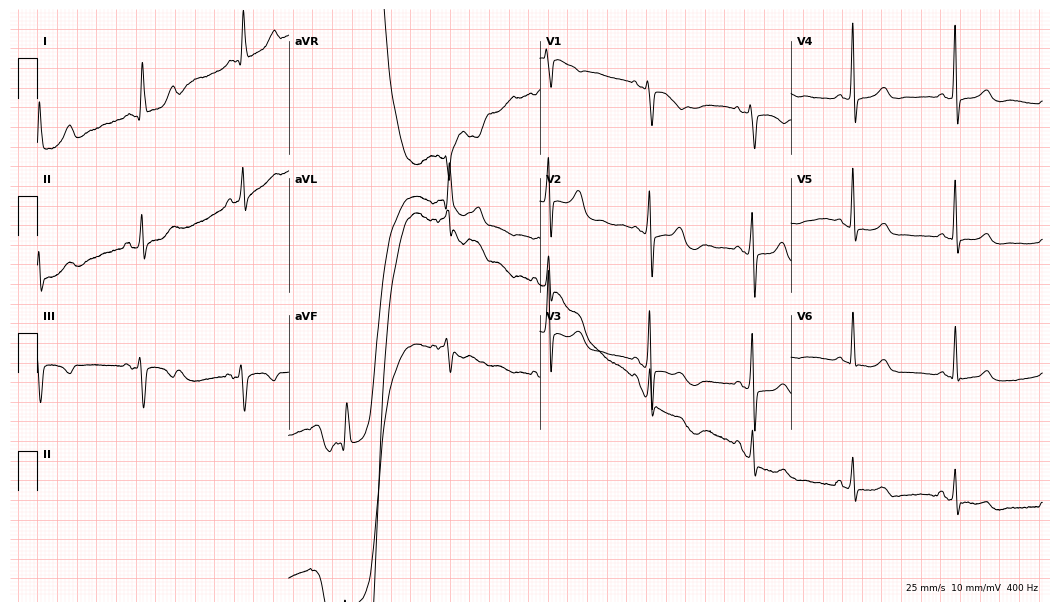
ECG (10.2-second recording at 400 Hz) — a woman, 85 years old. Labelled as a normal ECG.